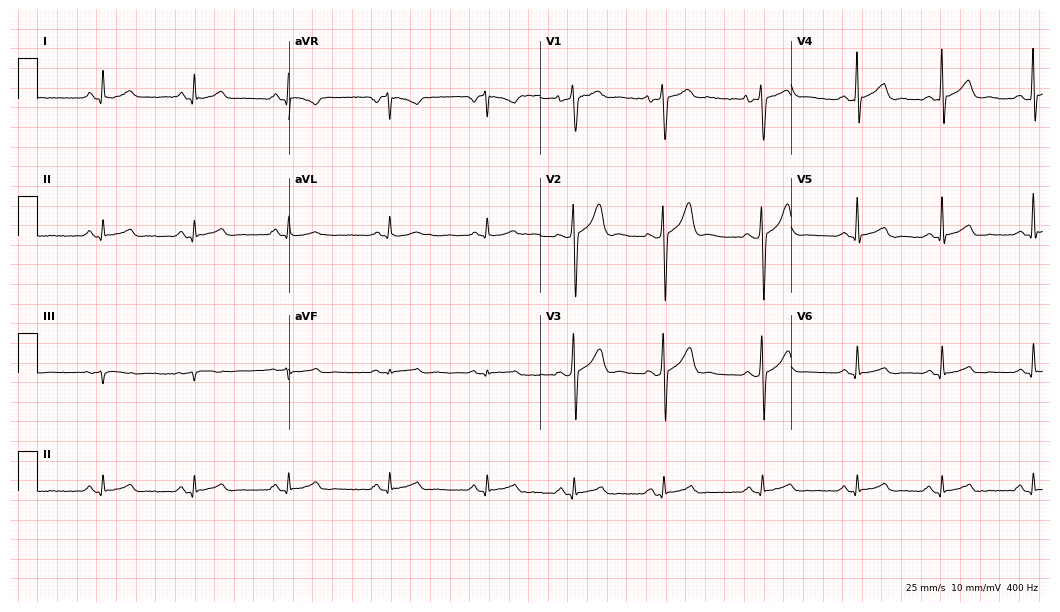
12-lead ECG from a 26-year-old male. Recorded interpretation: within normal limits.